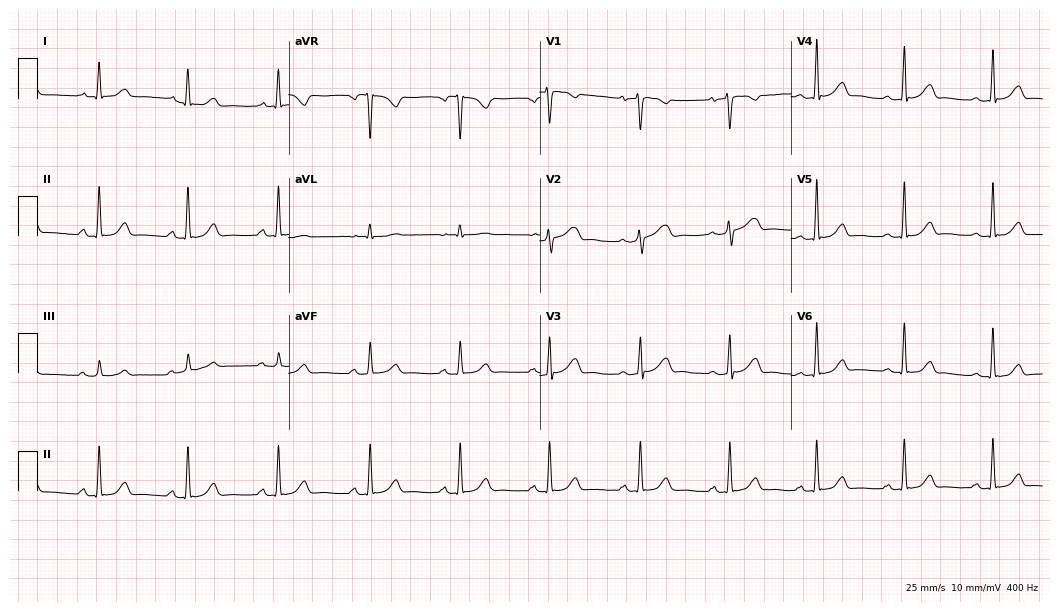
ECG — a 41-year-old woman. Labelled as a normal ECG.